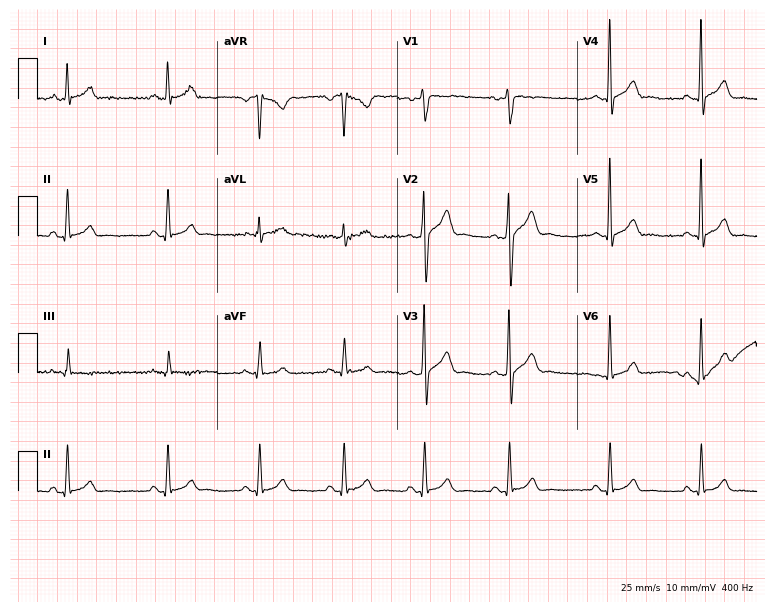
12-lead ECG from a 29-year-old woman. Recorded interpretation: within normal limits.